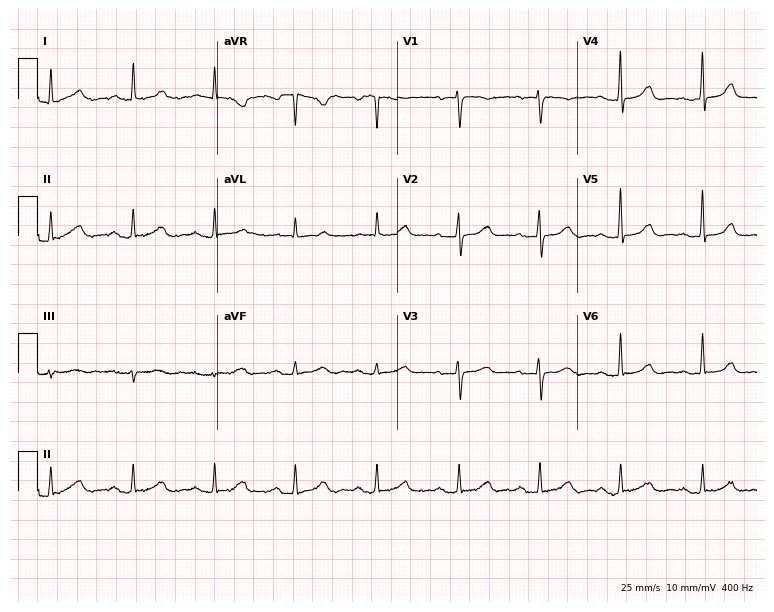
Standard 12-lead ECG recorded from a female, 75 years old (7.3-second recording at 400 Hz). Read as a normal ECG.